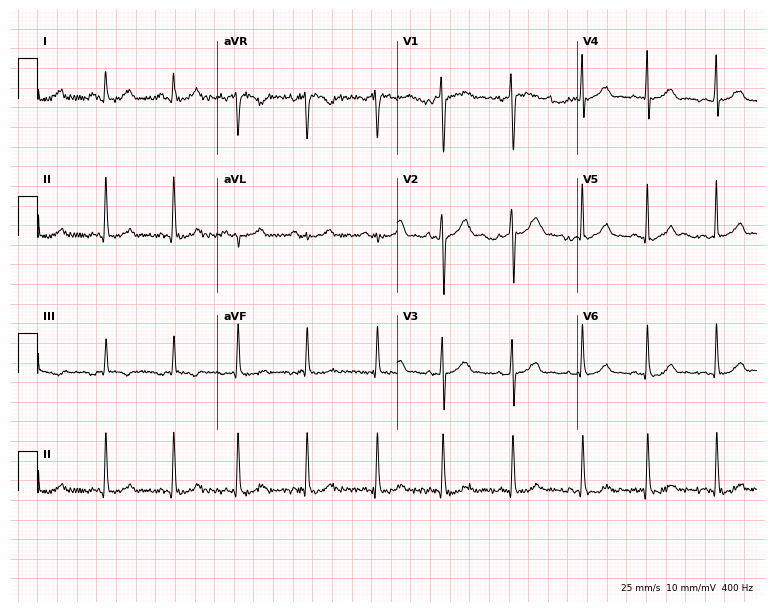
Resting 12-lead electrocardiogram. Patient: a 28-year-old female. None of these six findings is recorded: first-degree AV block, right bundle branch block, left bundle branch block, sinus bradycardia, atrial fibrillation, sinus tachycardia. Only these six findings were labelled.